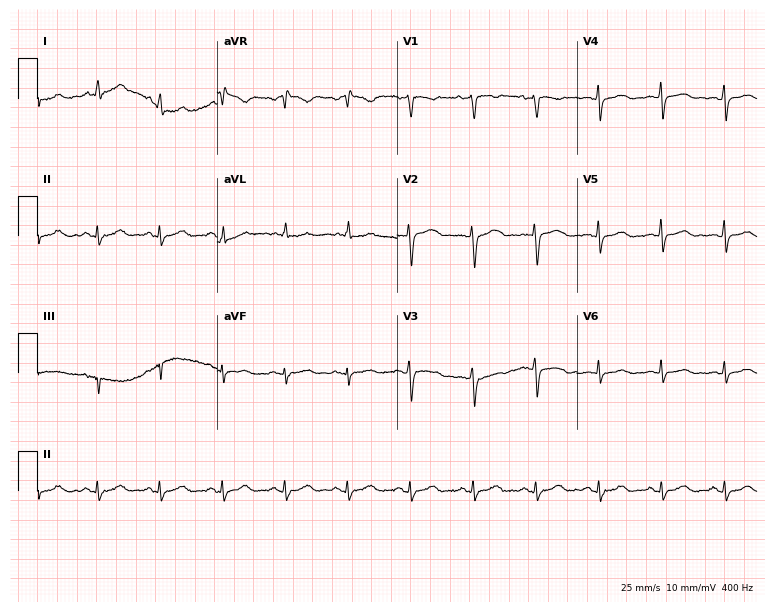
ECG — a 37-year-old woman. Screened for six findings — first-degree AV block, right bundle branch block, left bundle branch block, sinus bradycardia, atrial fibrillation, sinus tachycardia — none is recorded.